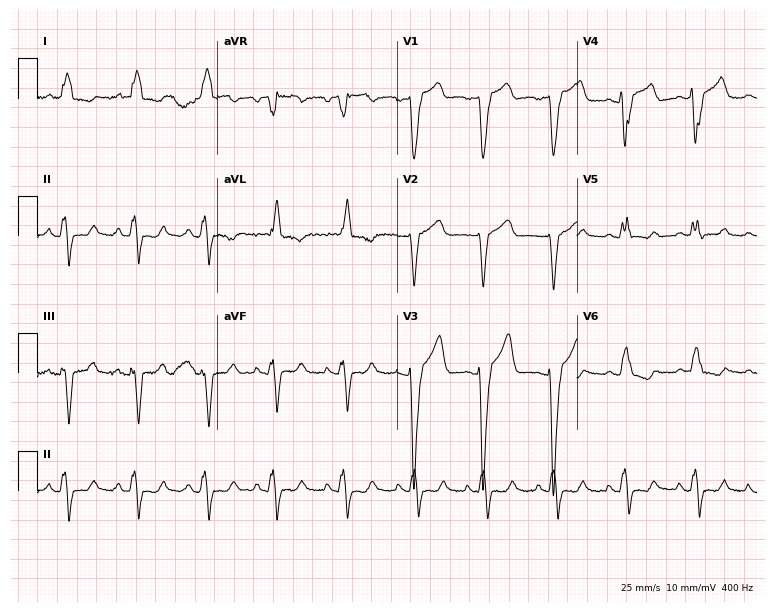
Standard 12-lead ECG recorded from a female, 58 years old. The tracing shows left bundle branch block.